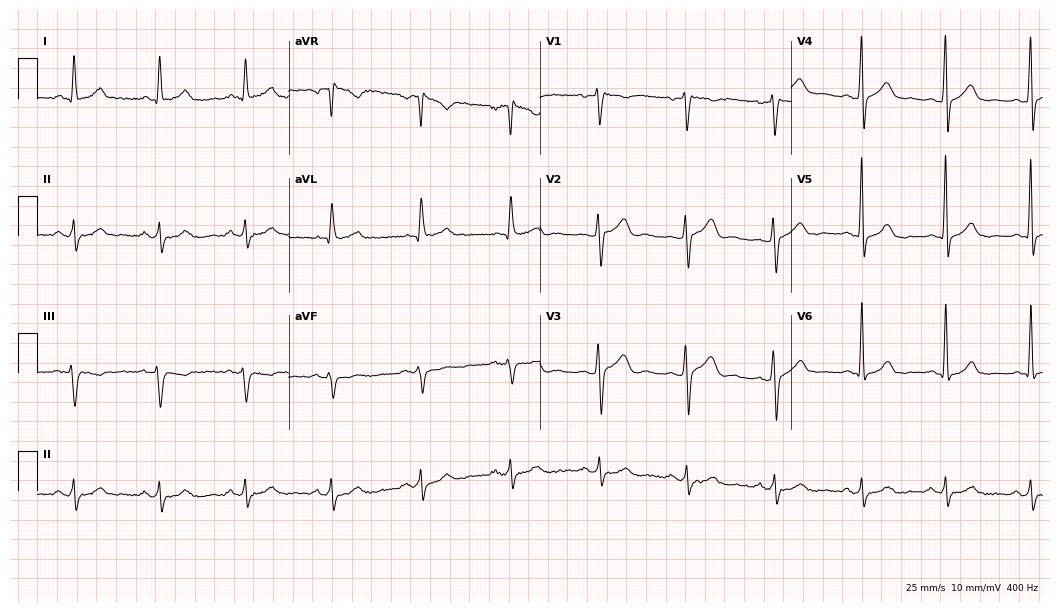
Electrocardiogram (10.2-second recording at 400 Hz), a 61-year-old male patient. Of the six screened findings (first-degree AV block, right bundle branch block, left bundle branch block, sinus bradycardia, atrial fibrillation, sinus tachycardia), none is recorded. Other findings, if any, are not listed.